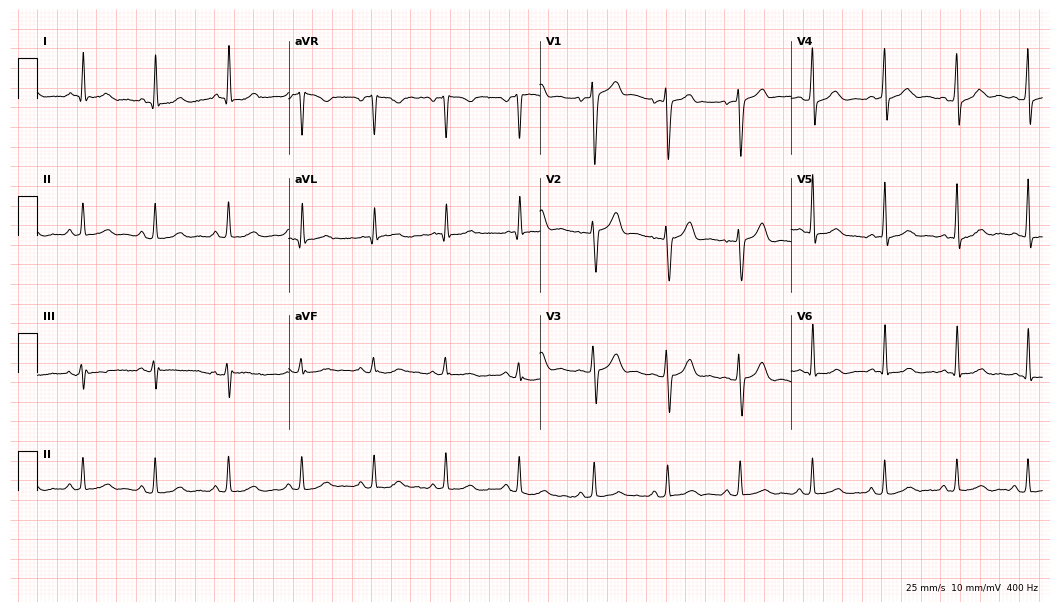
ECG — a 43-year-old man. Labelled as a normal ECG.